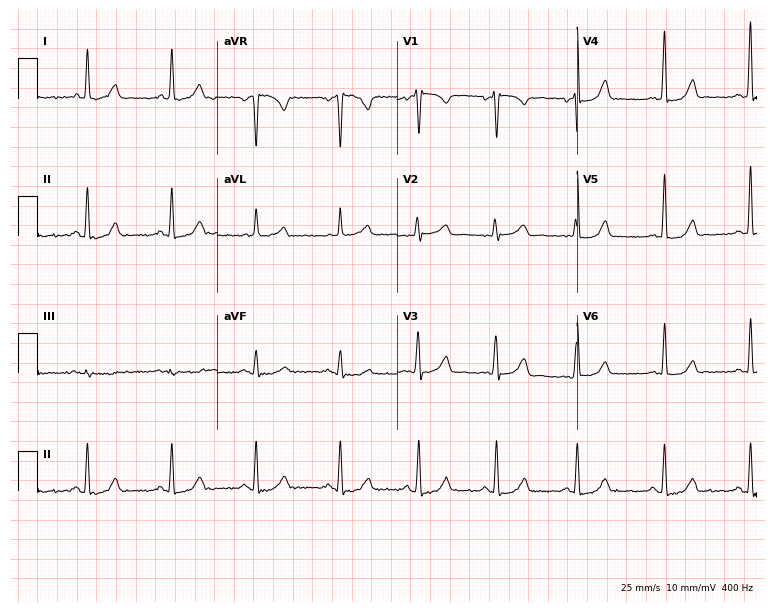
ECG — a 45-year-old female patient. Screened for six findings — first-degree AV block, right bundle branch block, left bundle branch block, sinus bradycardia, atrial fibrillation, sinus tachycardia — none is recorded.